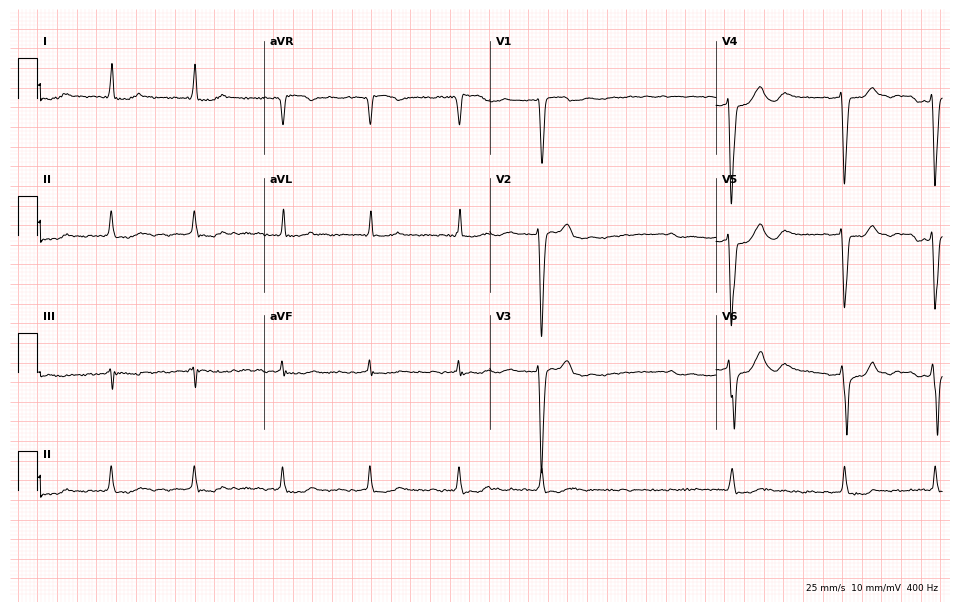
Electrocardiogram, a male patient, 80 years old. Interpretation includes atrial fibrillation.